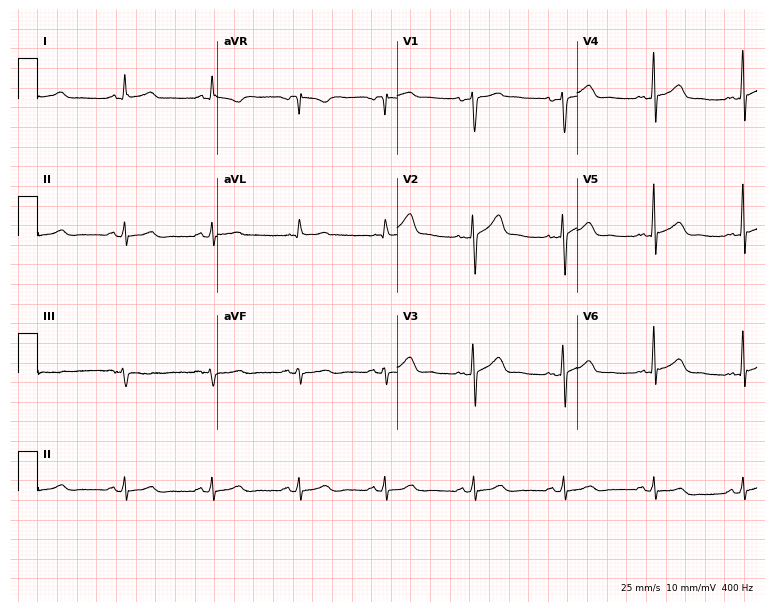
ECG — a 60-year-old female. Labelled as a normal ECG.